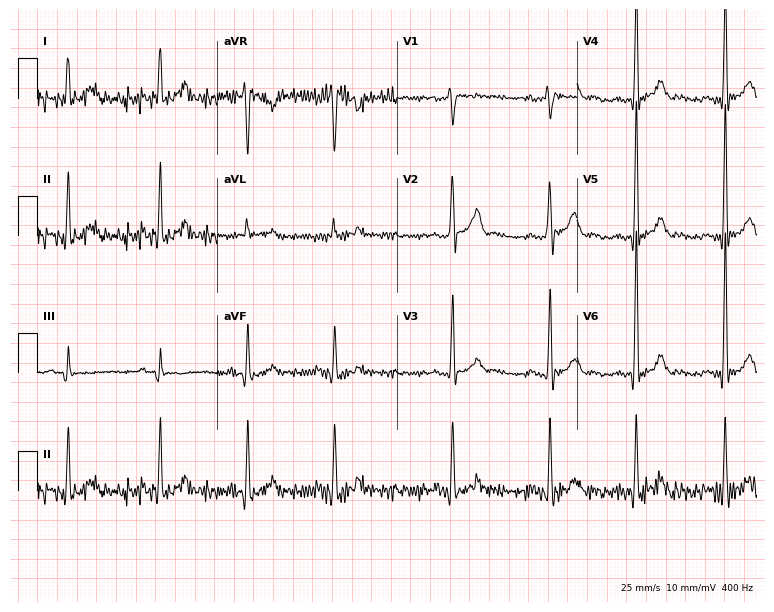
Standard 12-lead ECG recorded from a 37-year-old man. None of these six findings is recorded: first-degree AV block, right bundle branch block, left bundle branch block, sinus bradycardia, atrial fibrillation, sinus tachycardia. Findings outside these six are not listed.